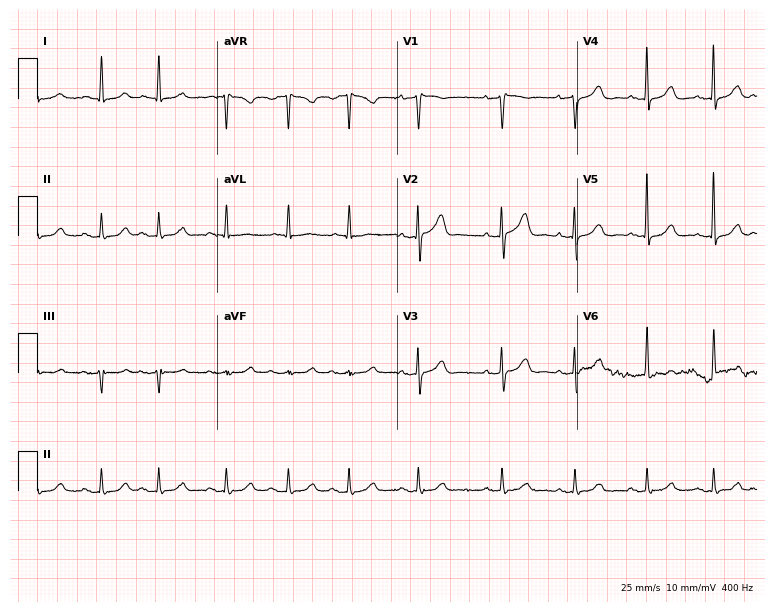
Standard 12-lead ECG recorded from an 80-year-old female patient. Read as a normal ECG.